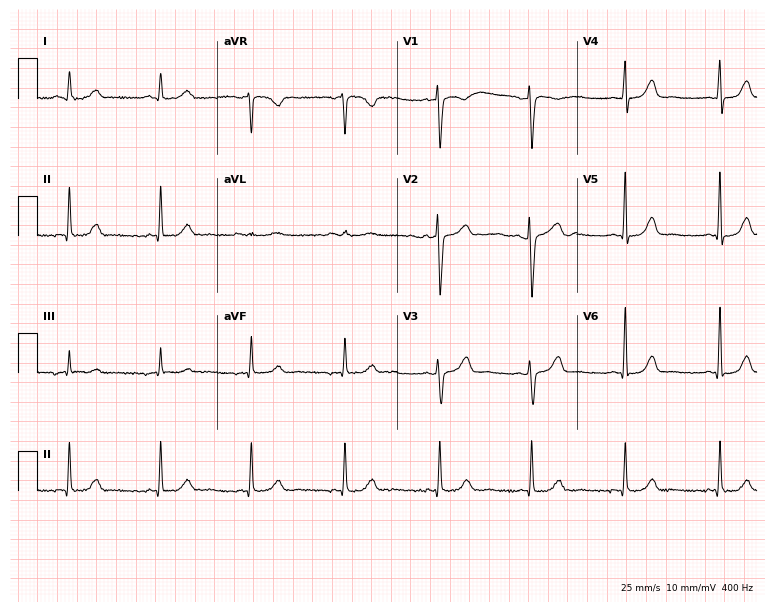
Resting 12-lead electrocardiogram (7.3-second recording at 400 Hz). Patient: a woman, 42 years old. Read as a normal ECG.